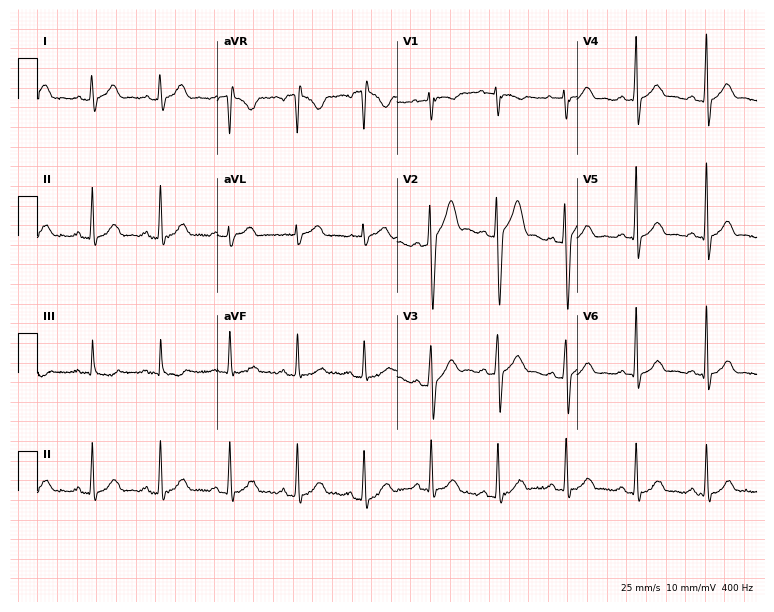
Electrocardiogram (7.3-second recording at 400 Hz), a 38-year-old male patient. Overall reading on record: normal ECG.